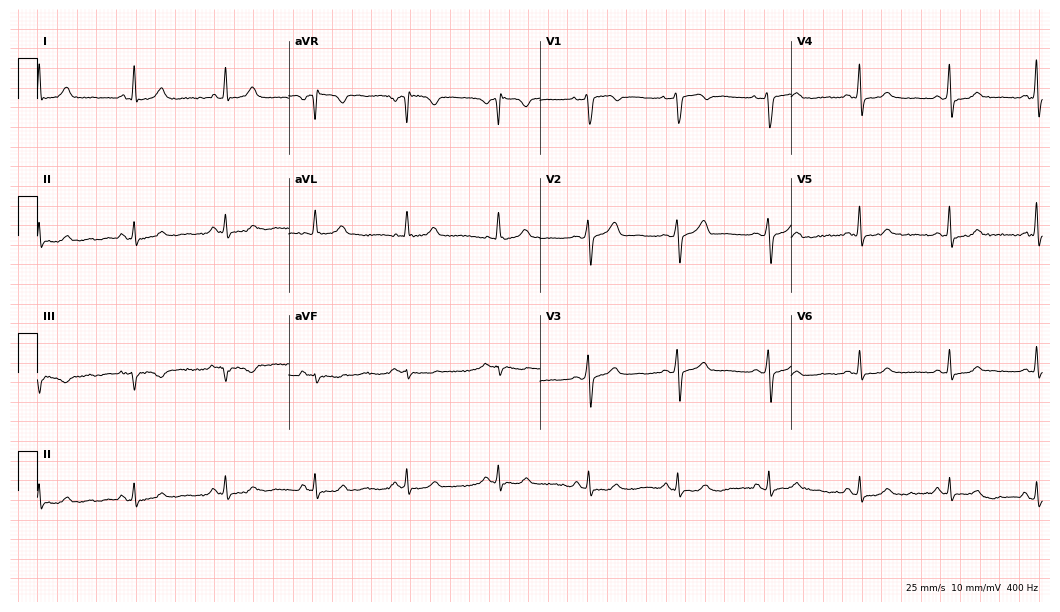
Electrocardiogram, a 47-year-old female patient. Overall reading on record: normal ECG.